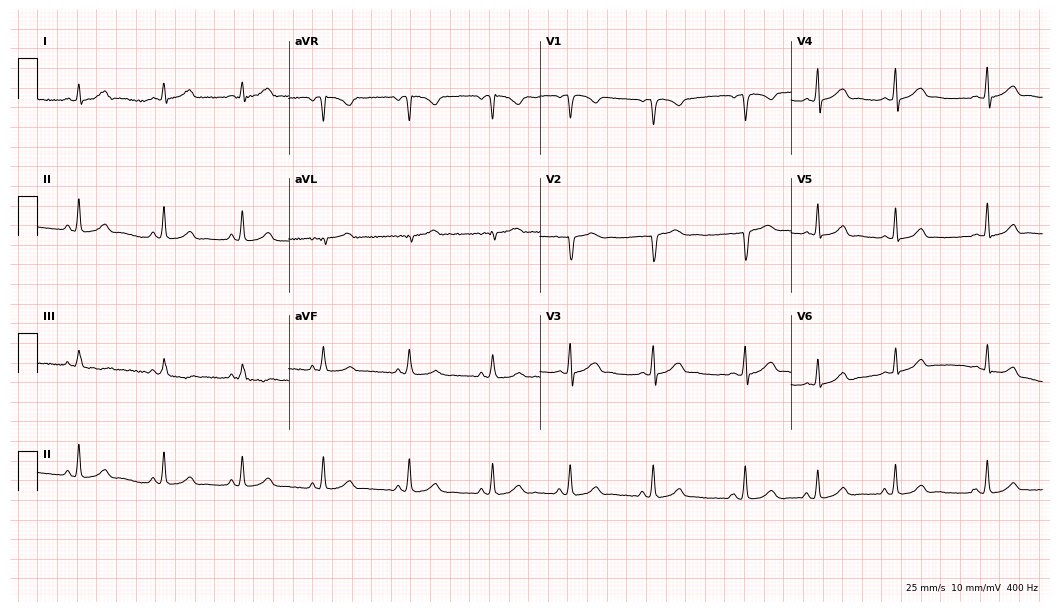
ECG (10.2-second recording at 400 Hz) — a 29-year-old female. Labelled as a normal ECG.